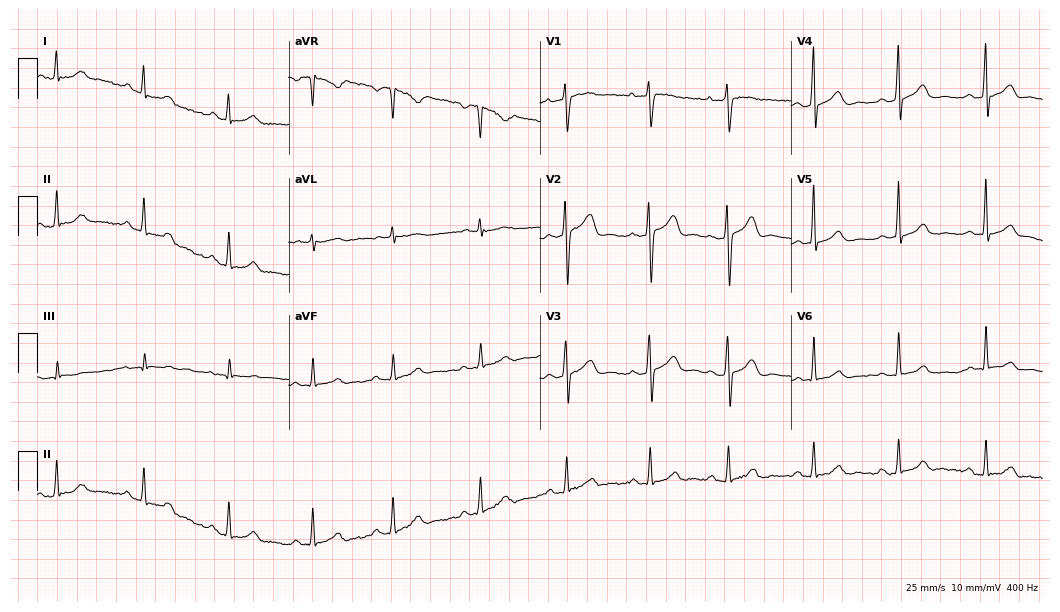
Resting 12-lead electrocardiogram (10.2-second recording at 400 Hz). Patient: a woman, 36 years old. Read as a normal ECG.